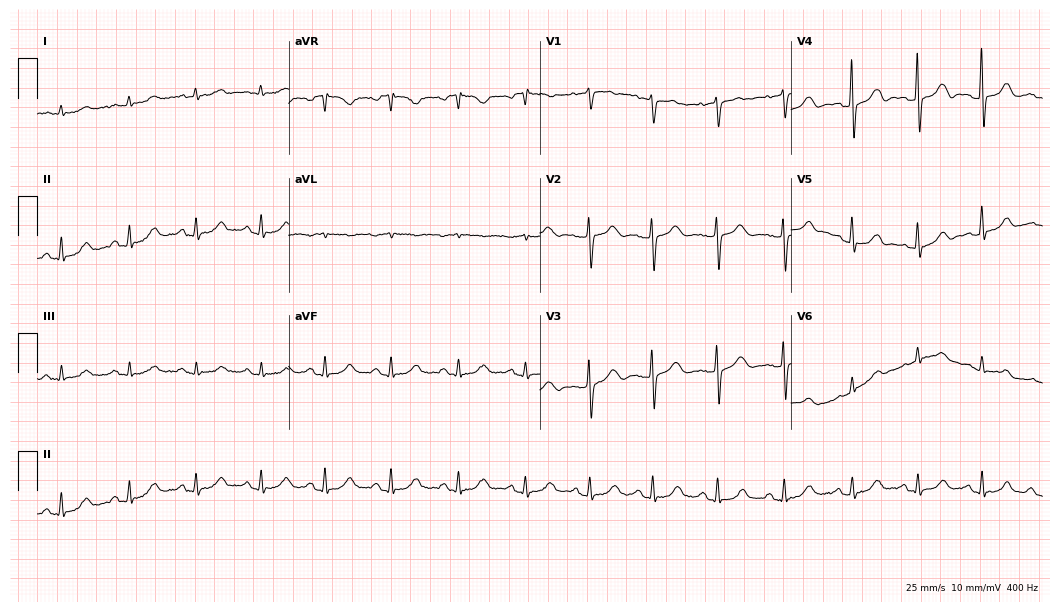
Resting 12-lead electrocardiogram. Patient: an 84-year-old woman. Read as a normal ECG.